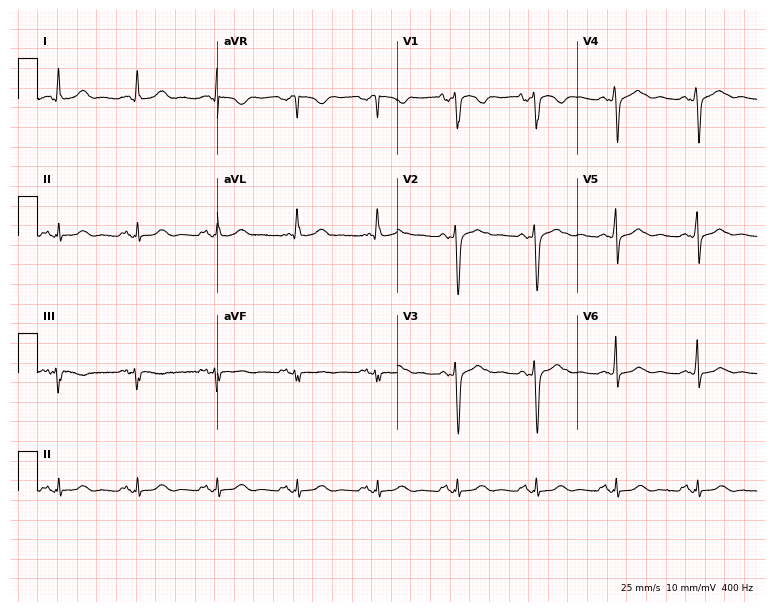
ECG (7.3-second recording at 400 Hz) — a 64-year-old female. Labelled as a normal ECG.